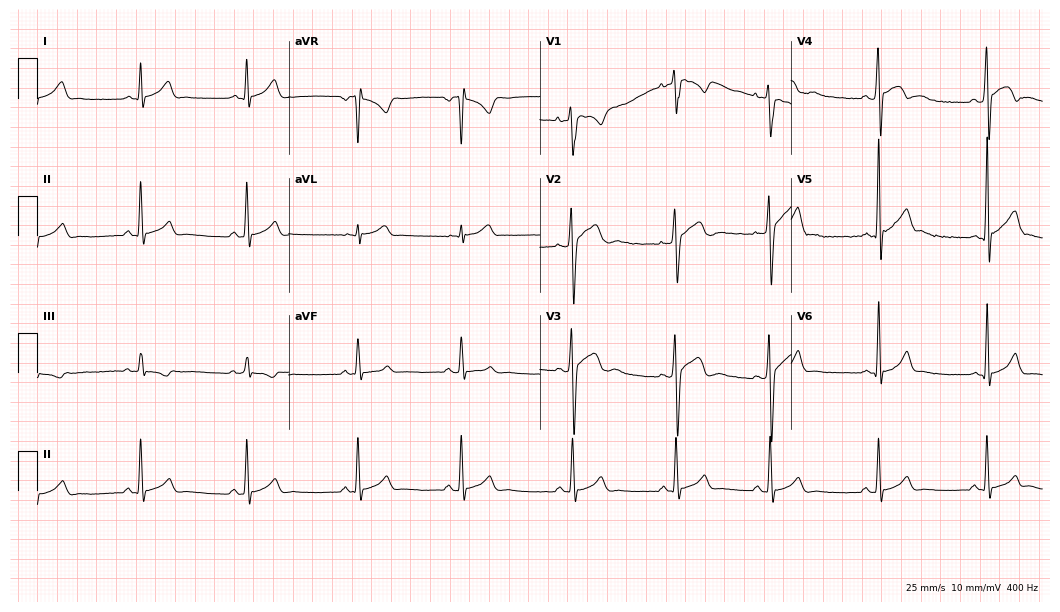
Standard 12-lead ECG recorded from a 20-year-old male (10.2-second recording at 400 Hz). Read as a normal ECG.